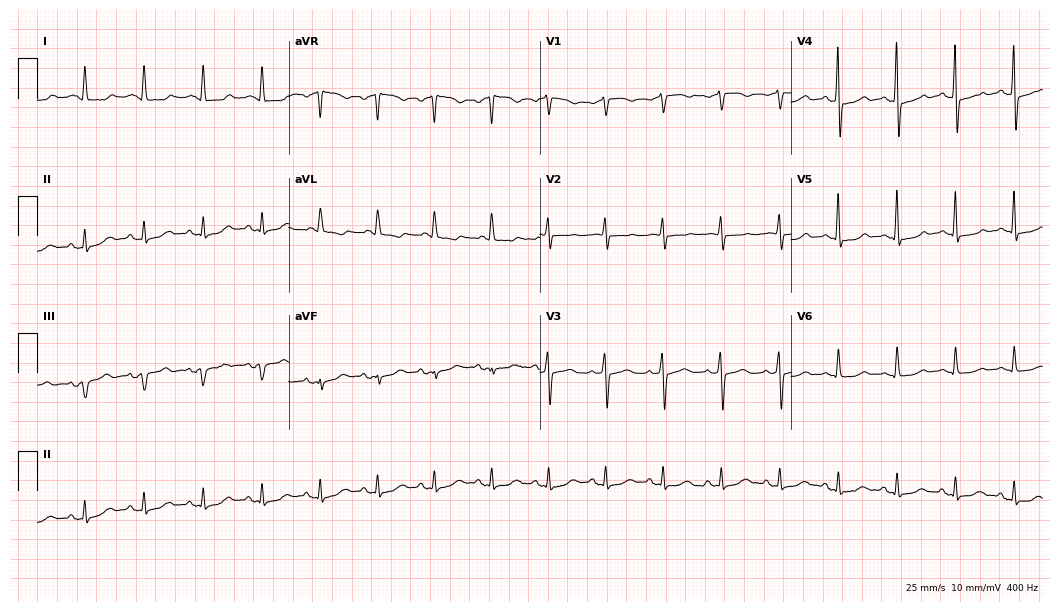
12-lead ECG from a 72-year-old female. Screened for six findings — first-degree AV block, right bundle branch block, left bundle branch block, sinus bradycardia, atrial fibrillation, sinus tachycardia — none is recorded.